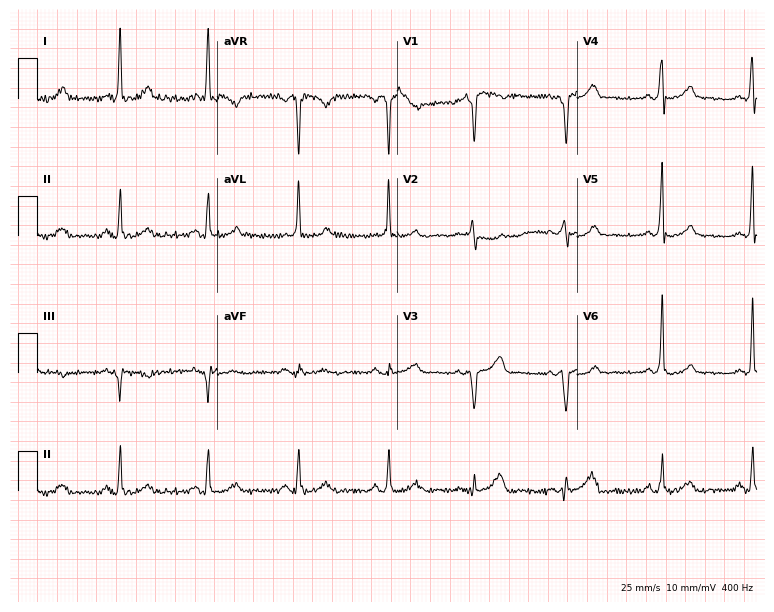
Resting 12-lead electrocardiogram (7.3-second recording at 400 Hz). Patient: a 59-year-old female. None of these six findings is recorded: first-degree AV block, right bundle branch block, left bundle branch block, sinus bradycardia, atrial fibrillation, sinus tachycardia. Only these six findings were labelled.